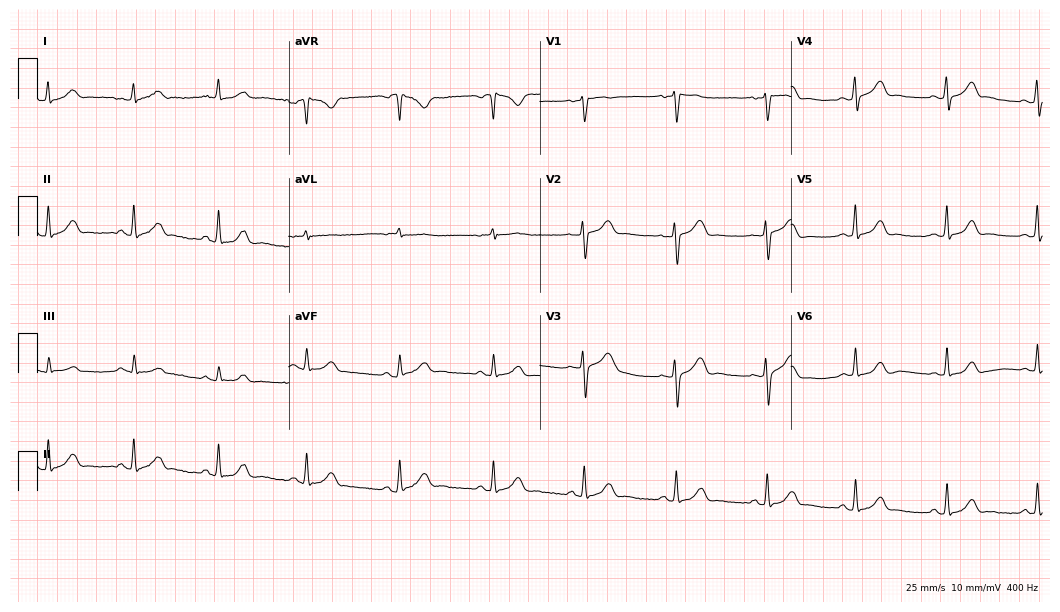
Resting 12-lead electrocardiogram (10.2-second recording at 400 Hz). Patient: a female, 37 years old. Read as a normal ECG.